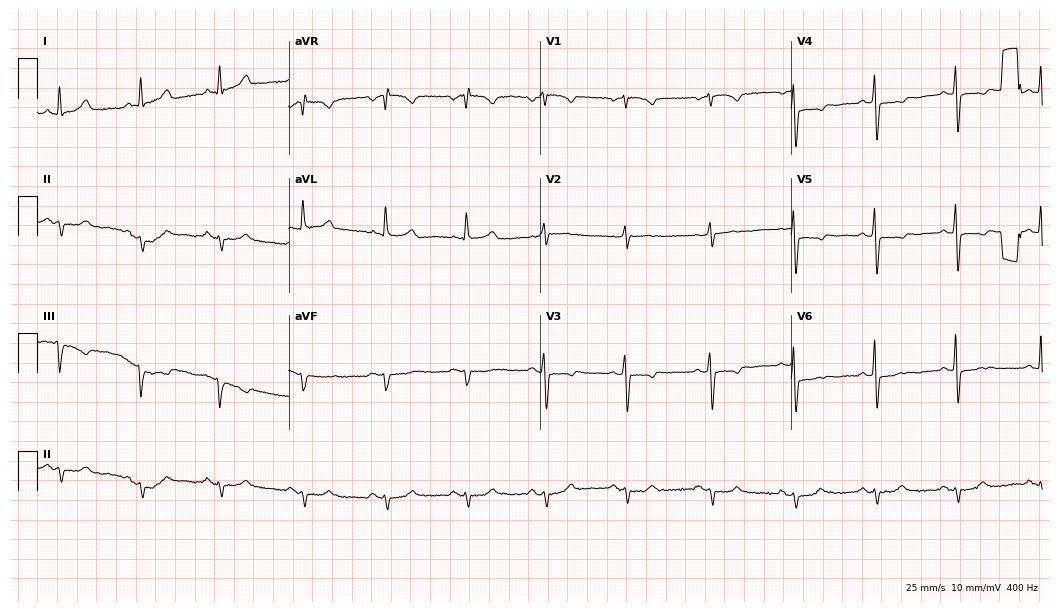
ECG — a woman, 67 years old. Screened for six findings — first-degree AV block, right bundle branch block, left bundle branch block, sinus bradycardia, atrial fibrillation, sinus tachycardia — none is recorded. Other findings, if any, are not listed.